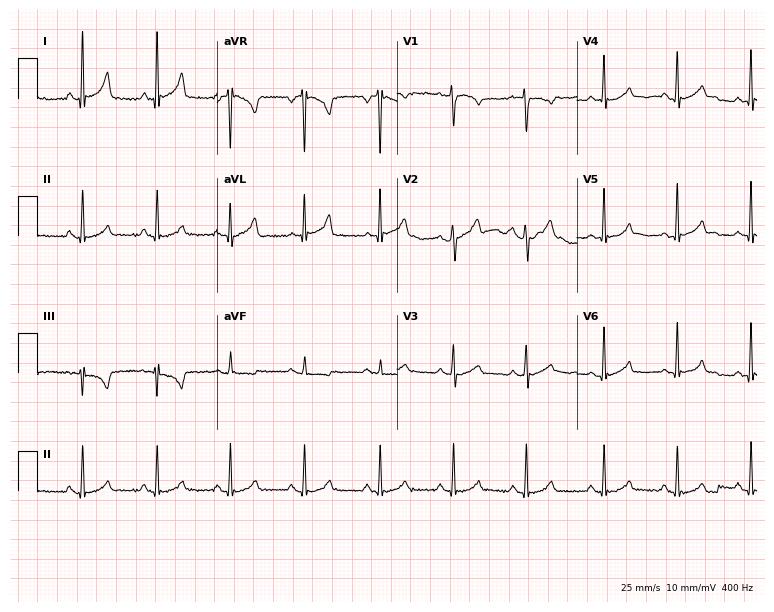
Electrocardiogram, a 36-year-old female. Overall reading on record: normal ECG.